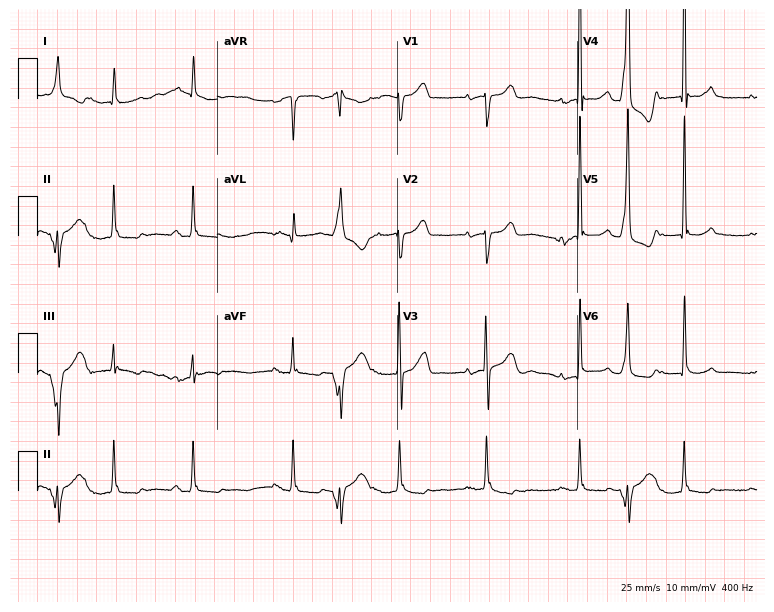
12-lead ECG from a woman, 68 years old. No first-degree AV block, right bundle branch block, left bundle branch block, sinus bradycardia, atrial fibrillation or sinus tachycardia recorded for this tracing. Findings outside these six are not listed.